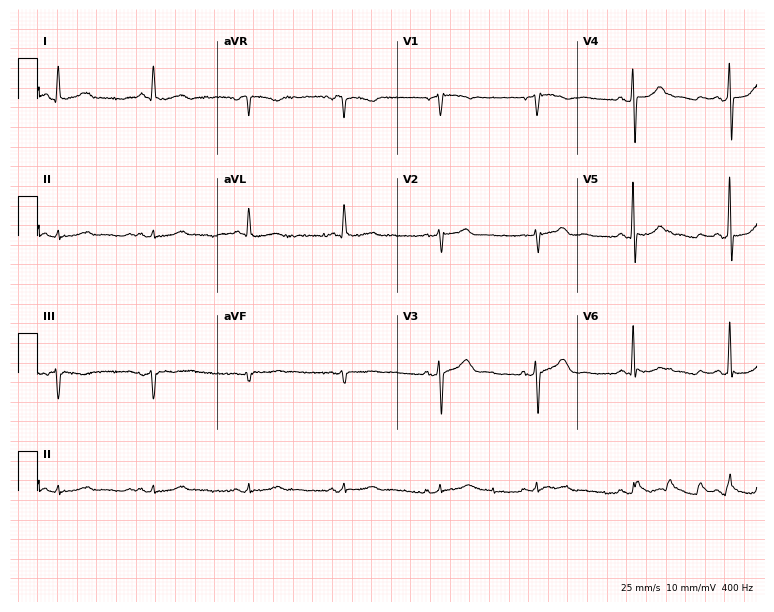
Standard 12-lead ECG recorded from a 69-year-old man. Read as a normal ECG.